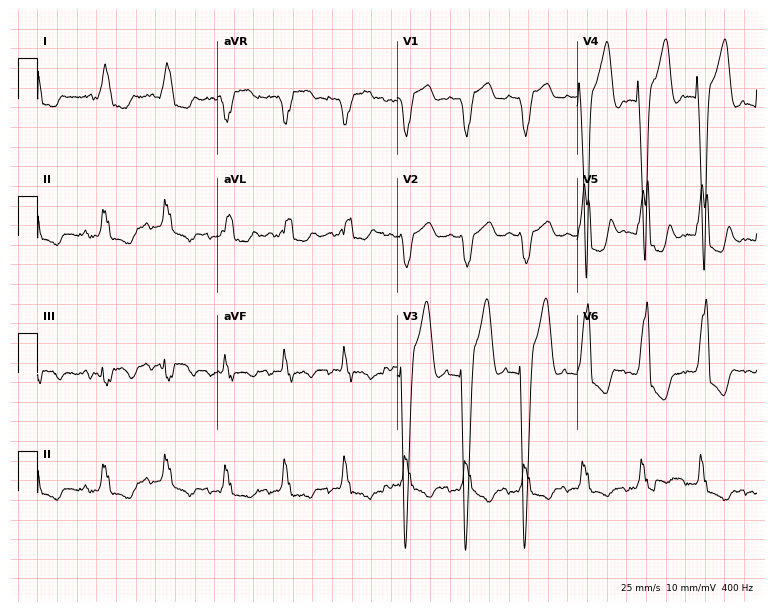
12-lead ECG from an 83-year-old female. Findings include left bundle branch block.